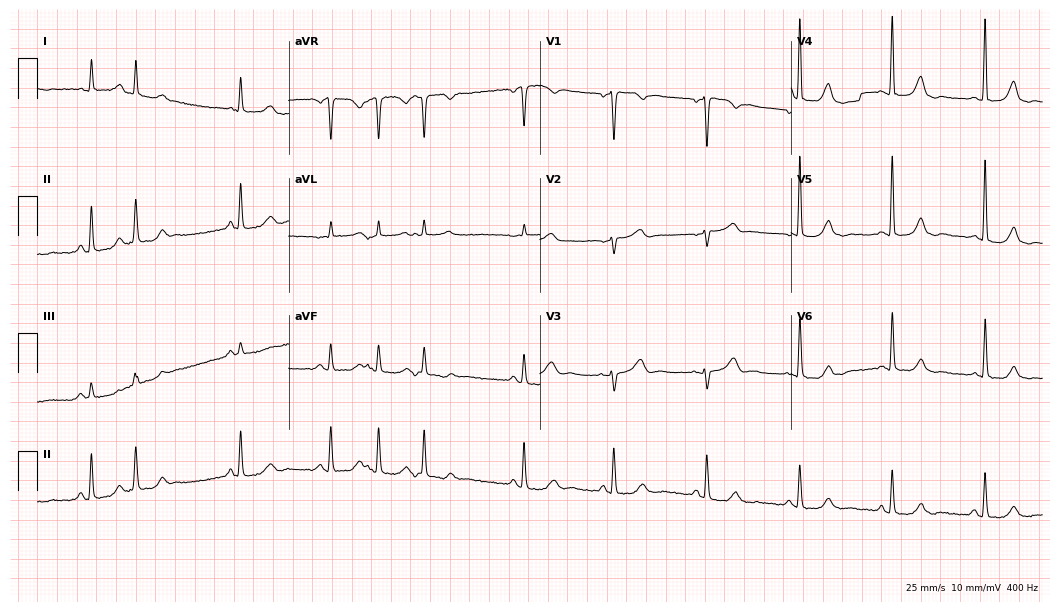
Standard 12-lead ECG recorded from a female patient, 71 years old (10.2-second recording at 400 Hz). None of these six findings is recorded: first-degree AV block, right bundle branch block, left bundle branch block, sinus bradycardia, atrial fibrillation, sinus tachycardia.